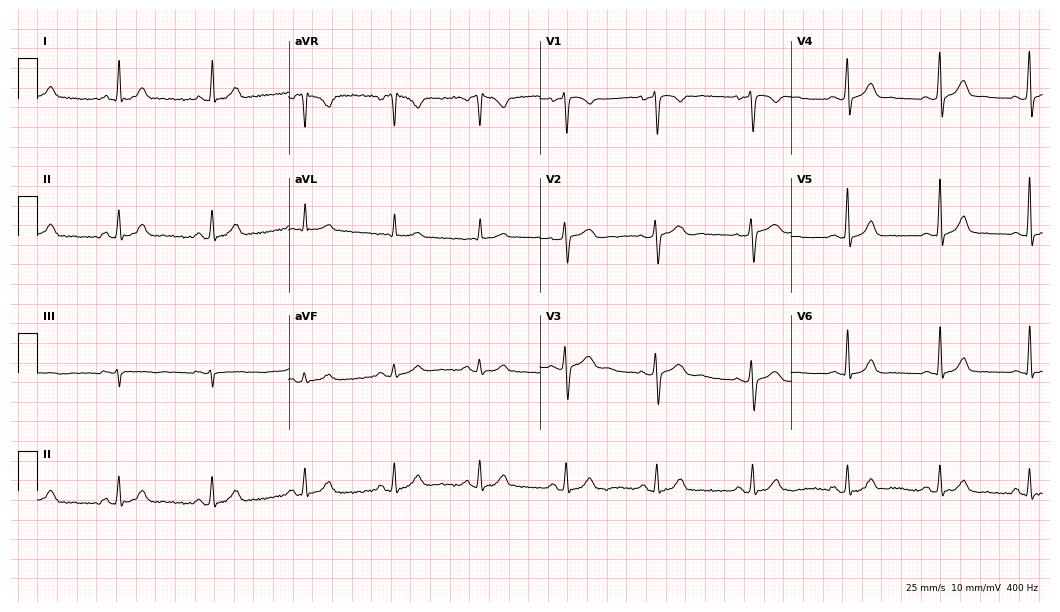
Standard 12-lead ECG recorded from a 44-year-old woman (10.2-second recording at 400 Hz). Read as a normal ECG.